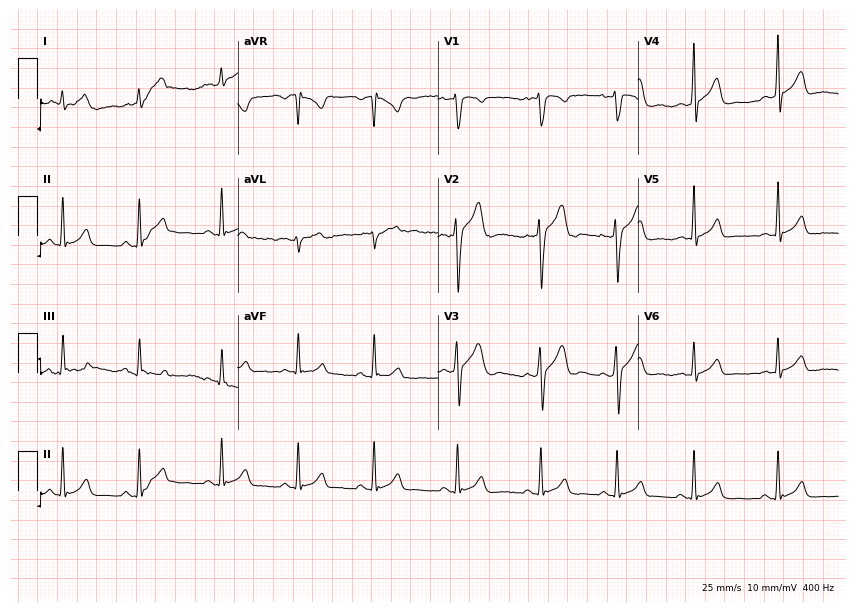
12-lead ECG from a 21-year-old man. Labelled as a normal ECG.